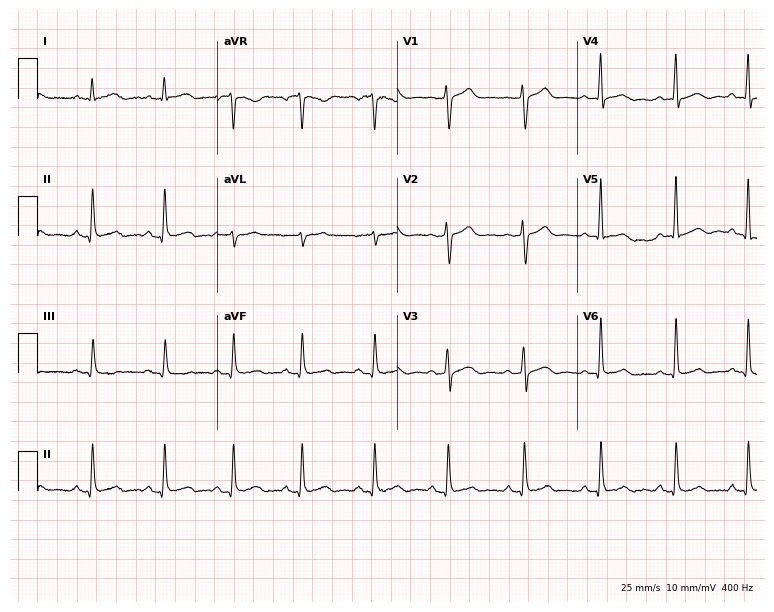
Standard 12-lead ECG recorded from a man, 54 years old. Read as a normal ECG.